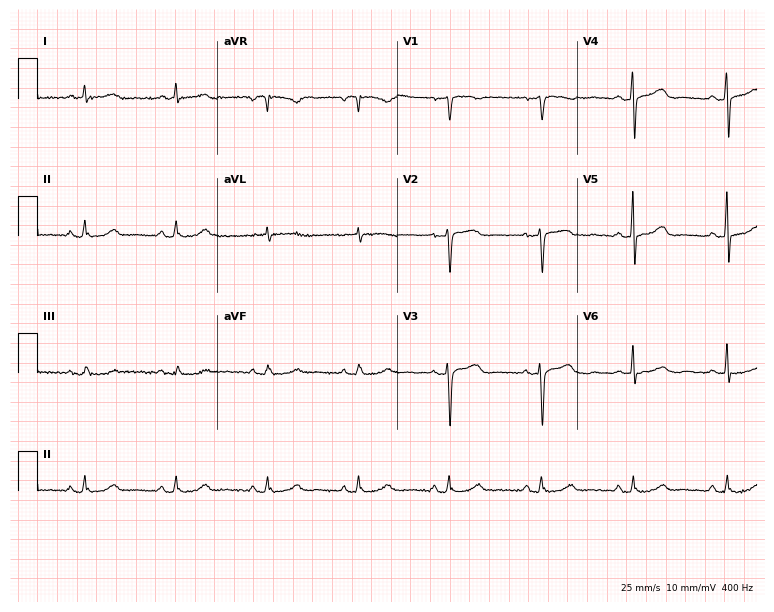
Standard 12-lead ECG recorded from a 61-year-old female. Read as a normal ECG.